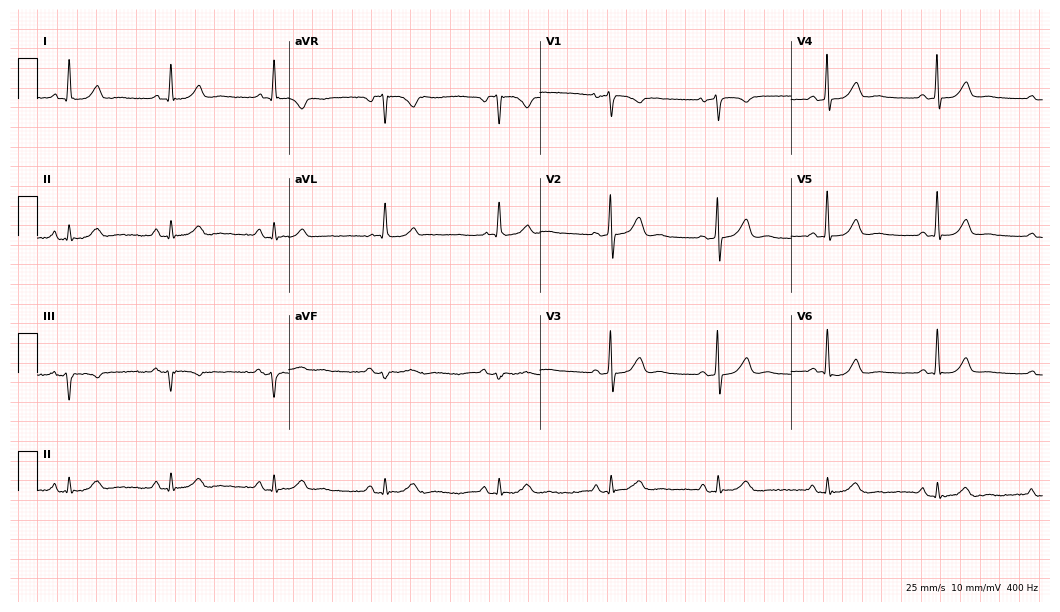
ECG (10.2-second recording at 400 Hz) — a 54-year-old woman. Screened for six findings — first-degree AV block, right bundle branch block, left bundle branch block, sinus bradycardia, atrial fibrillation, sinus tachycardia — none is recorded. Other findings, if any, are not listed.